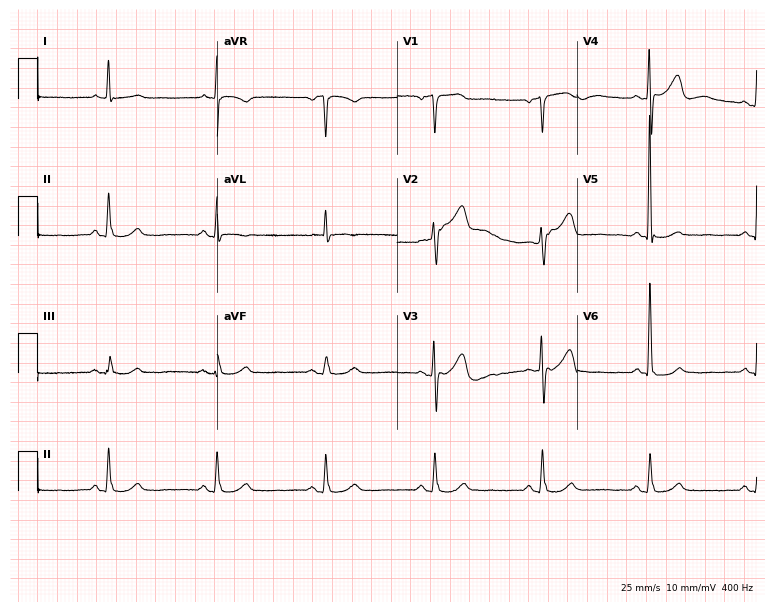
12-lead ECG from a 75-year-old male patient. No first-degree AV block, right bundle branch block, left bundle branch block, sinus bradycardia, atrial fibrillation or sinus tachycardia recorded for this tracing.